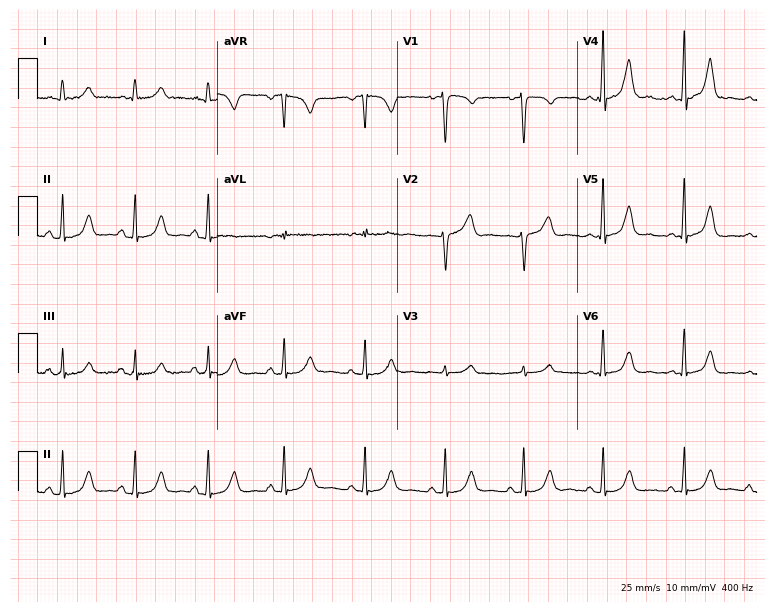
ECG — a female patient, 48 years old. Screened for six findings — first-degree AV block, right bundle branch block, left bundle branch block, sinus bradycardia, atrial fibrillation, sinus tachycardia — none is recorded. Findings outside these six are not listed.